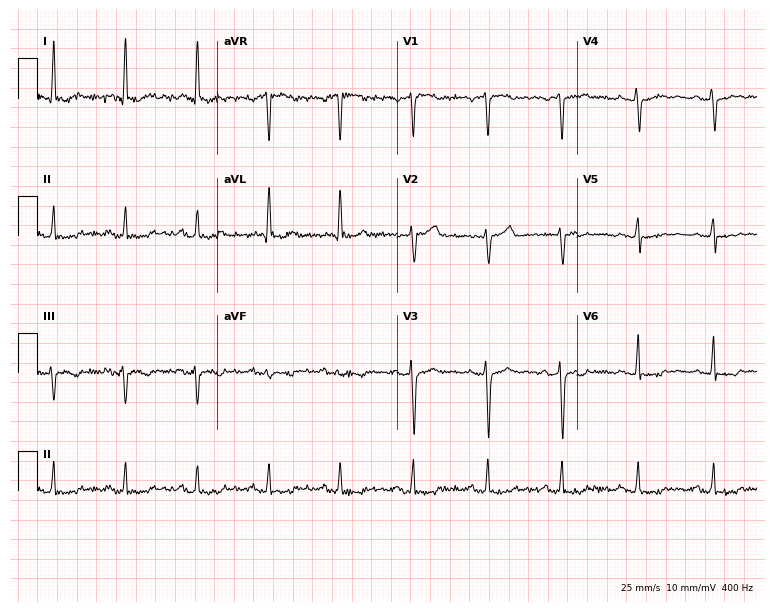
12-lead ECG from a 70-year-old female. No first-degree AV block, right bundle branch block (RBBB), left bundle branch block (LBBB), sinus bradycardia, atrial fibrillation (AF) or sinus tachycardia recorded for this tracing. Only these six findings were labelled.